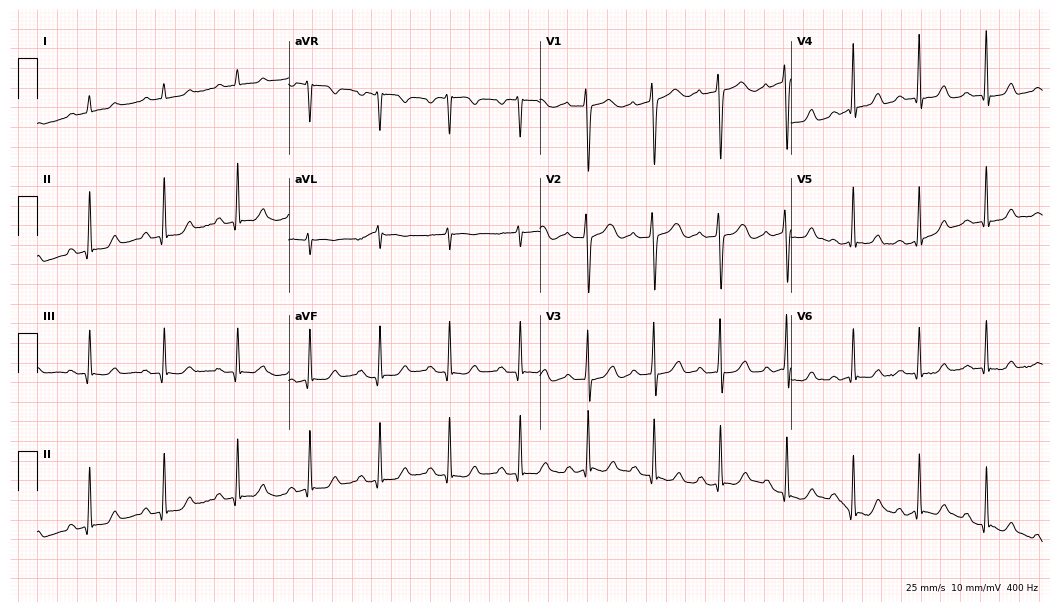
Resting 12-lead electrocardiogram. Patient: a 38-year-old female. Read as a normal ECG.